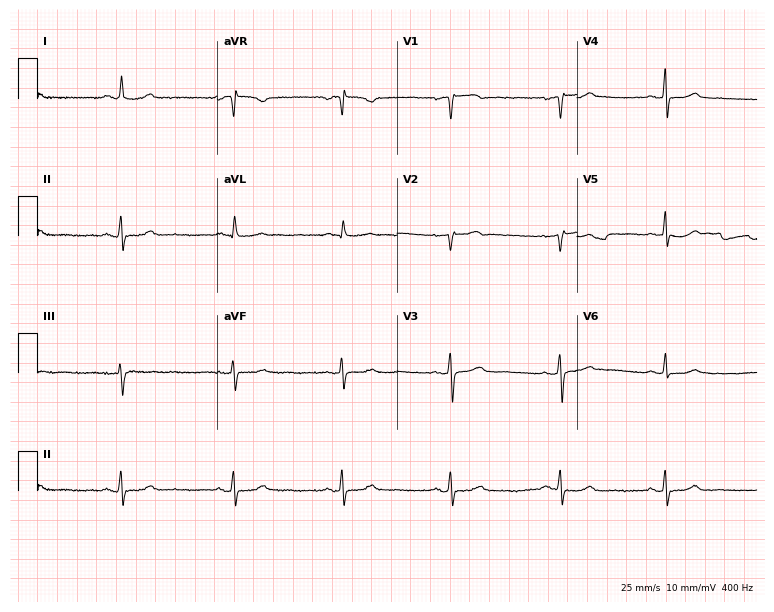
Resting 12-lead electrocardiogram (7.3-second recording at 400 Hz). Patient: a woman, 59 years old. None of these six findings is recorded: first-degree AV block, right bundle branch block, left bundle branch block, sinus bradycardia, atrial fibrillation, sinus tachycardia. Only these six findings were labelled.